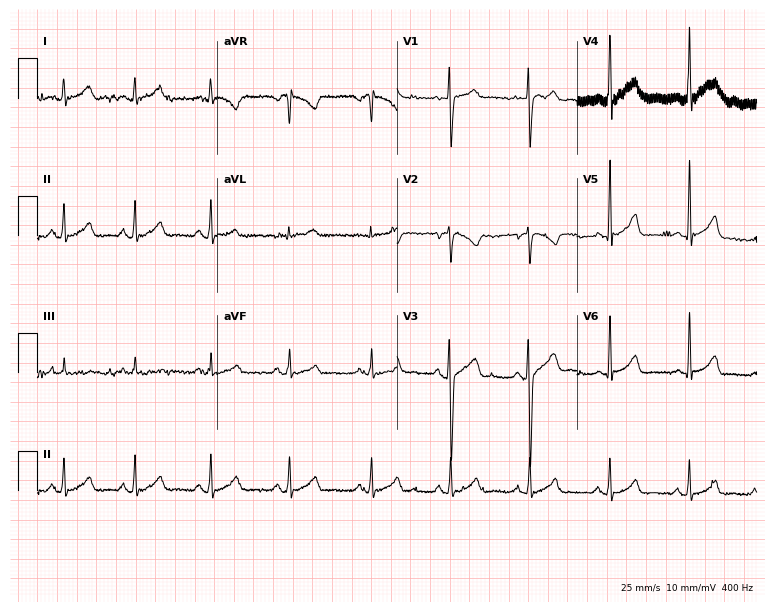
Electrocardiogram (7.3-second recording at 400 Hz), a man, 20 years old. Overall reading on record: normal ECG.